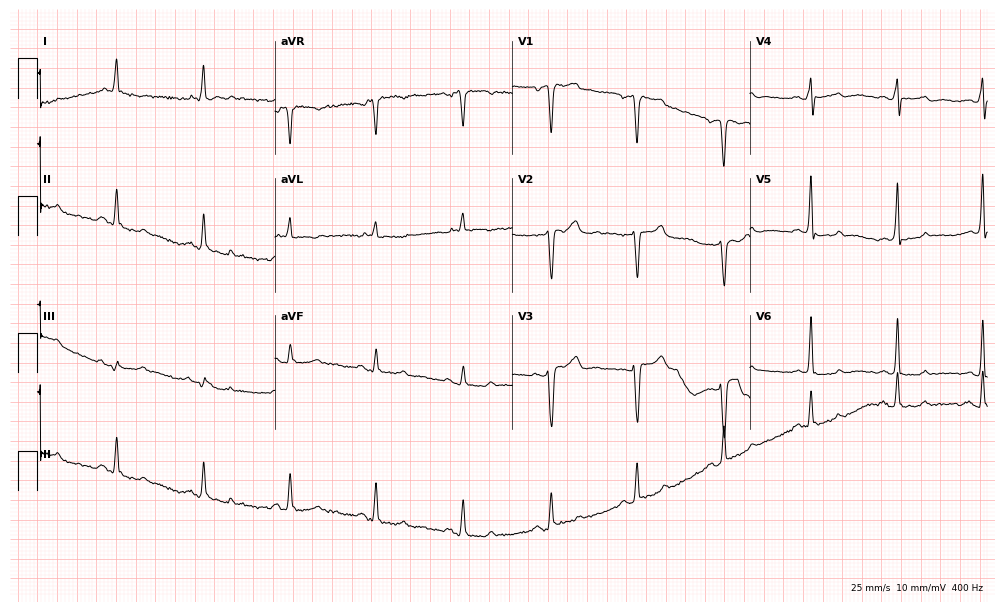
ECG — an 82-year-old male patient. Screened for six findings — first-degree AV block, right bundle branch block, left bundle branch block, sinus bradycardia, atrial fibrillation, sinus tachycardia — none is recorded. Findings outside these six are not listed.